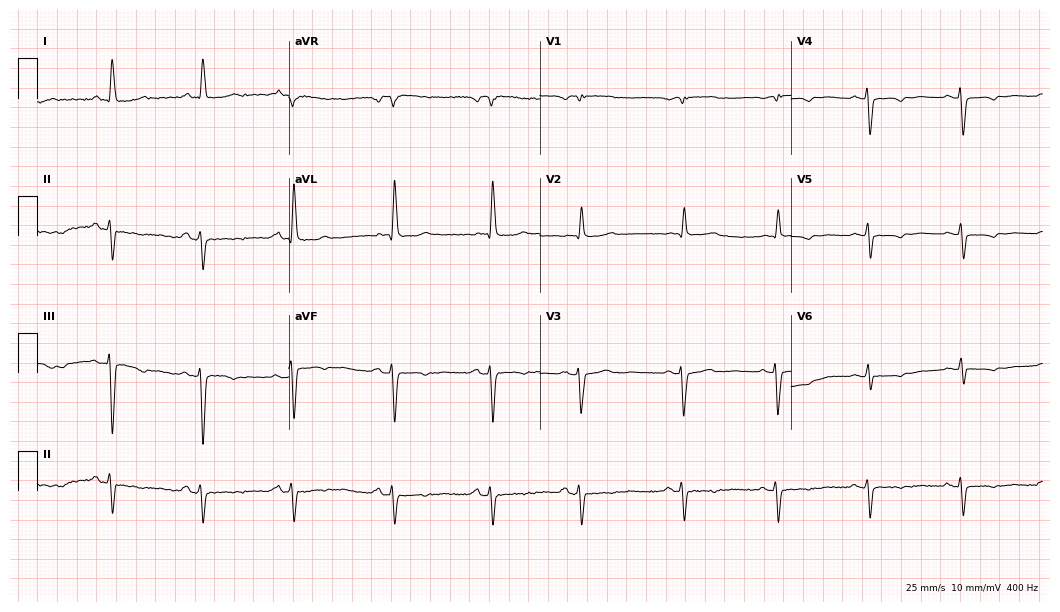
Standard 12-lead ECG recorded from an 80-year-old female patient (10.2-second recording at 400 Hz). None of these six findings is recorded: first-degree AV block, right bundle branch block (RBBB), left bundle branch block (LBBB), sinus bradycardia, atrial fibrillation (AF), sinus tachycardia.